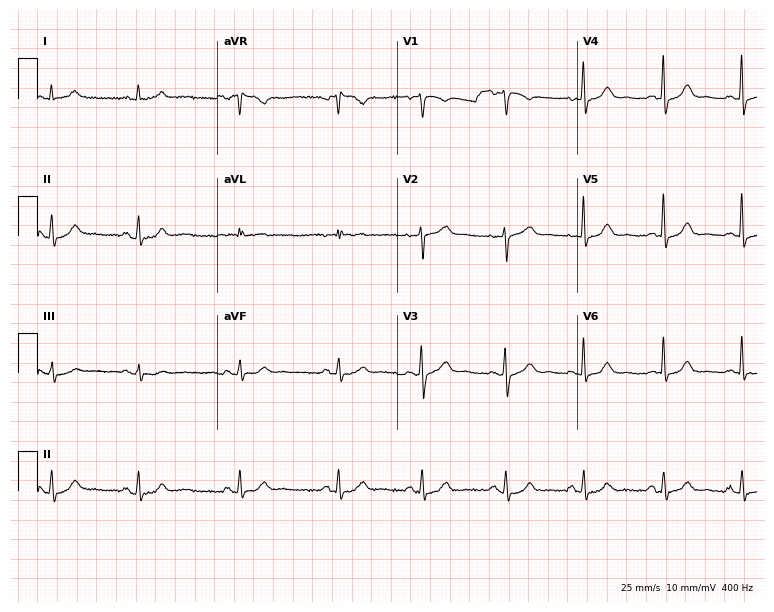
ECG (7.3-second recording at 400 Hz) — a female patient, 42 years old. Labelled as a normal ECG.